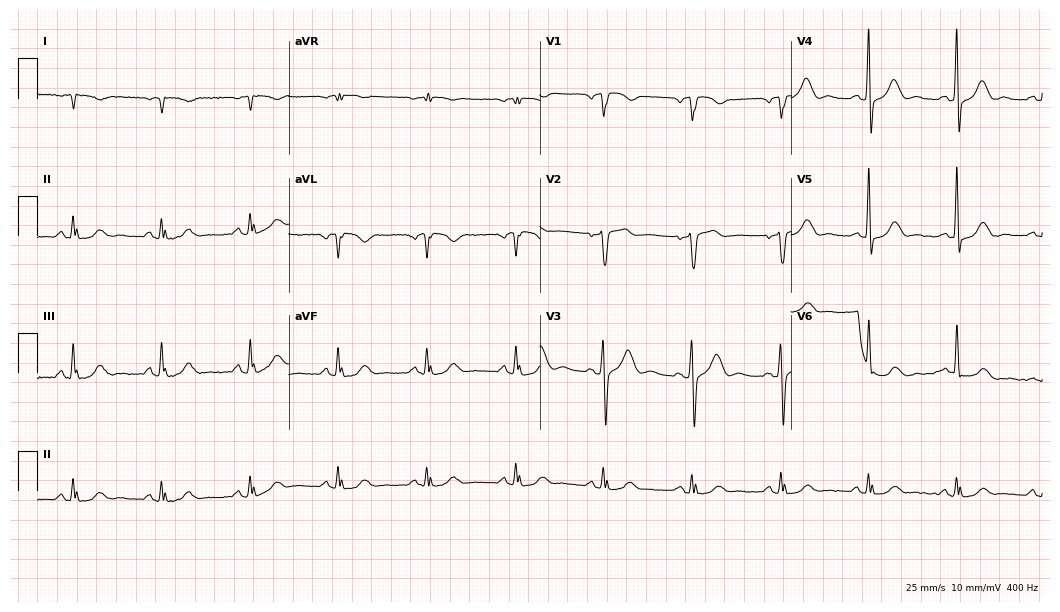
12-lead ECG from a 76-year-old woman. Screened for six findings — first-degree AV block, right bundle branch block (RBBB), left bundle branch block (LBBB), sinus bradycardia, atrial fibrillation (AF), sinus tachycardia — none is recorded. Other findings, if any, are not listed.